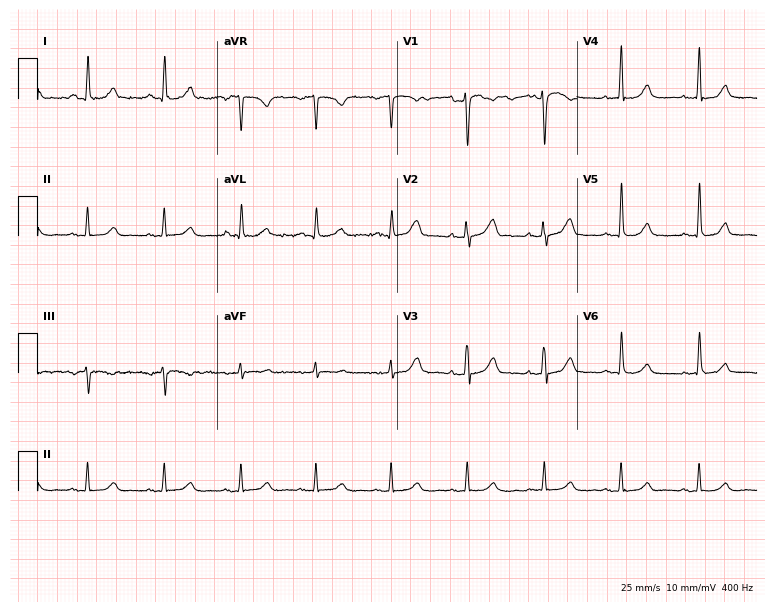
Electrocardiogram (7.3-second recording at 400 Hz), a 68-year-old female. Overall reading on record: normal ECG.